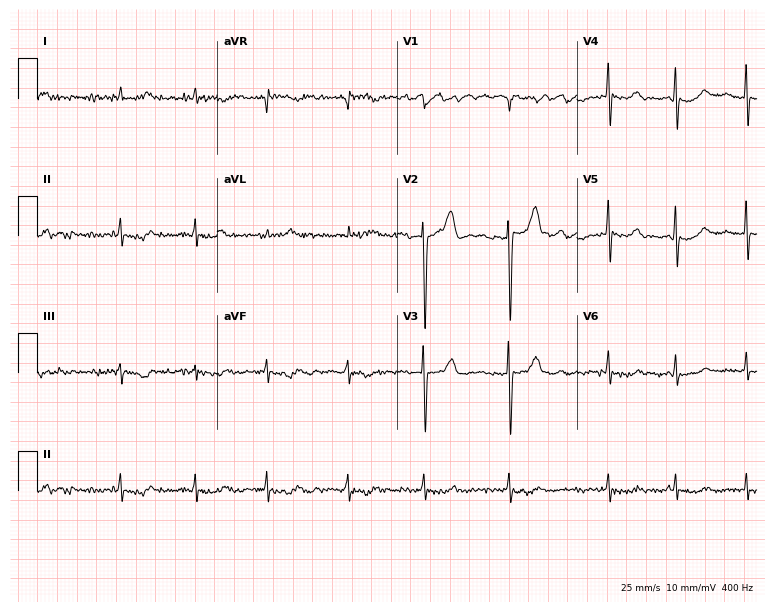
Electrocardiogram (7.3-second recording at 400 Hz), a female patient, 79 years old. Interpretation includes atrial fibrillation.